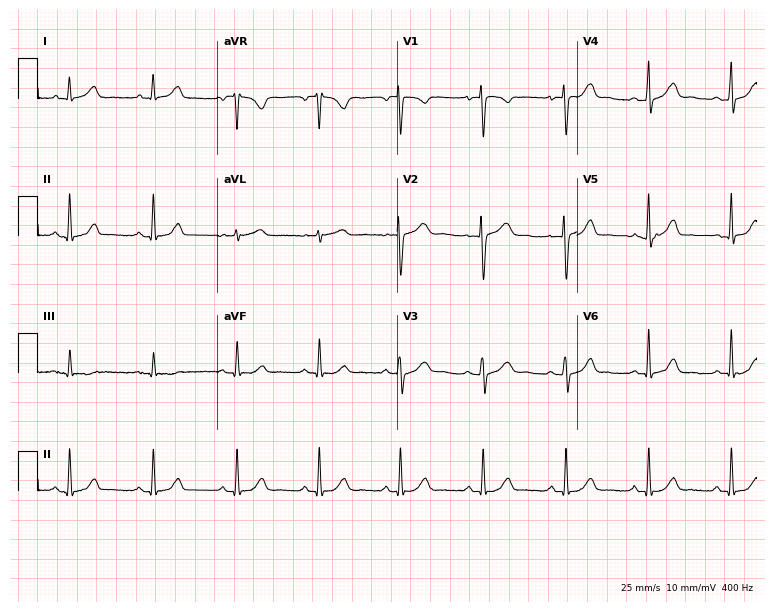
Electrocardiogram (7.3-second recording at 400 Hz), a 32-year-old woman. Of the six screened findings (first-degree AV block, right bundle branch block, left bundle branch block, sinus bradycardia, atrial fibrillation, sinus tachycardia), none is recorded. Findings outside these six are not listed.